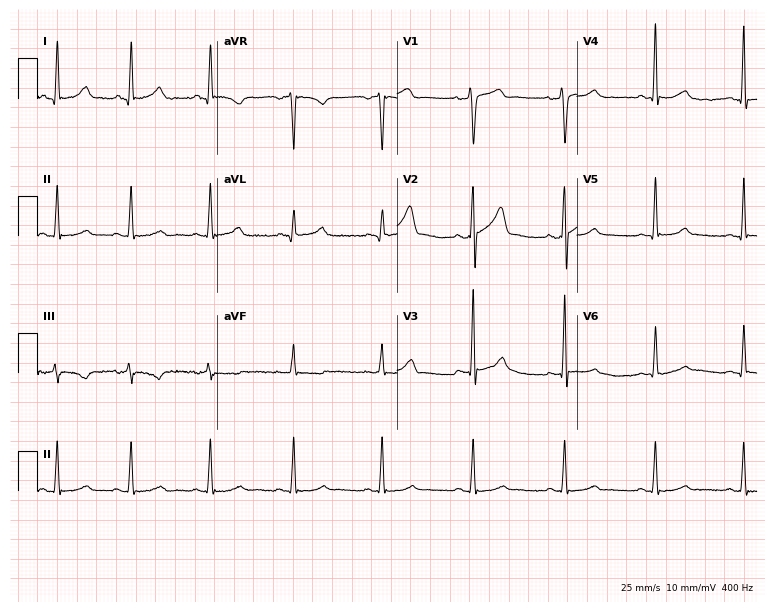
Resting 12-lead electrocardiogram (7.3-second recording at 400 Hz). Patient: a man, 34 years old. Read as a normal ECG.